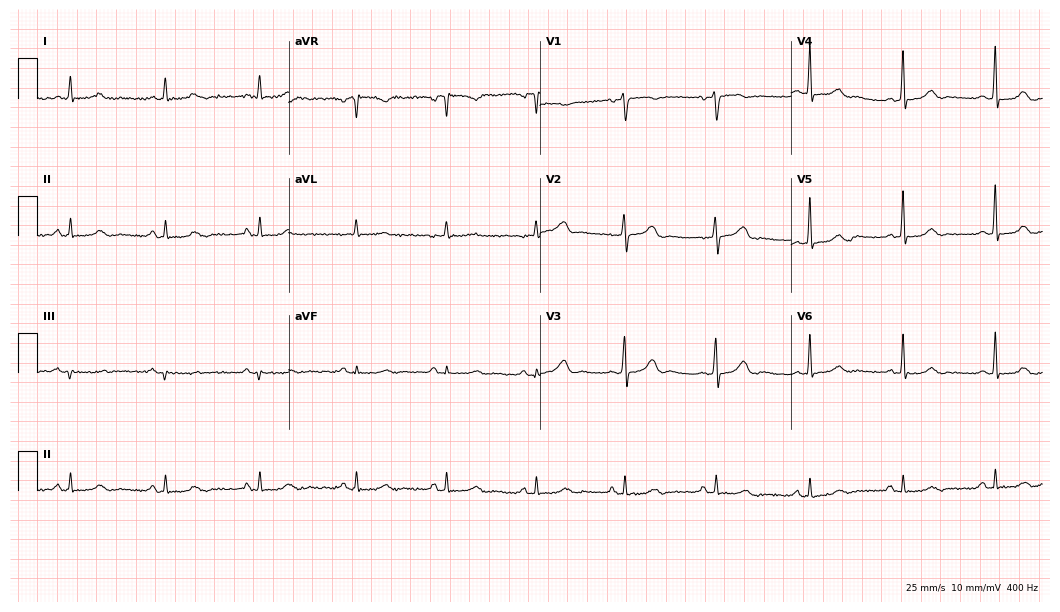
ECG — a 57-year-old woman. Screened for six findings — first-degree AV block, right bundle branch block (RBBB), left bundle branch block (LBBB), sinus bradycardia, atrial fibrillation (AF), sinus tachycardia — none is recorded.